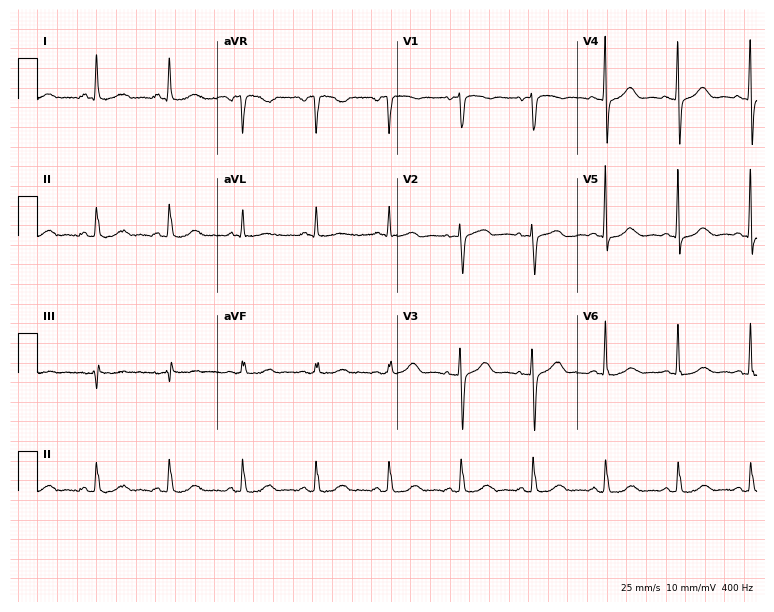
Standard 12-lead ECG recorded from a woman, 70 years old (7.3-second recording at 400 Hz). Read as a normal ECG.